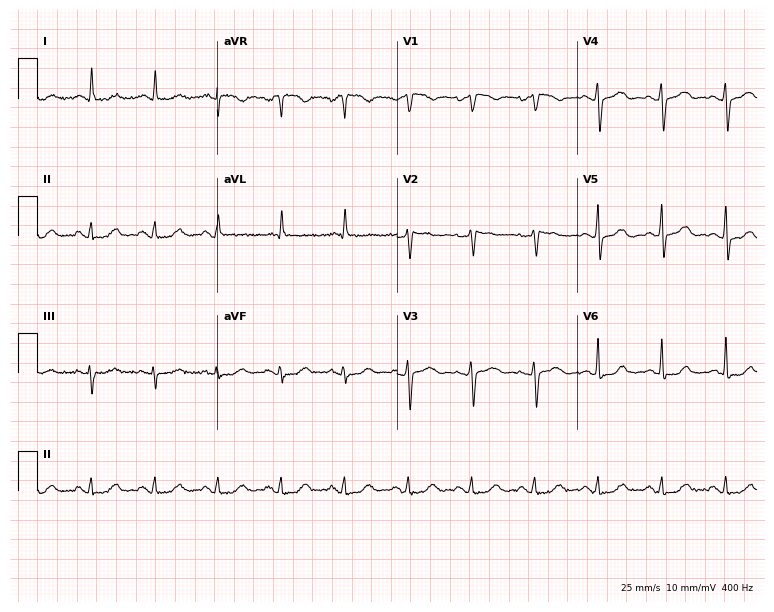
ECG — a woman, 75 years old. Screened for six findings — first-degree AV block, right bundle branch block (RBBB), left bundle branch block (LBBB), sinus bradycardia, atrial fibrillation (AF), sinus tachycardia — none is recorded. Only these six findings were labelled.